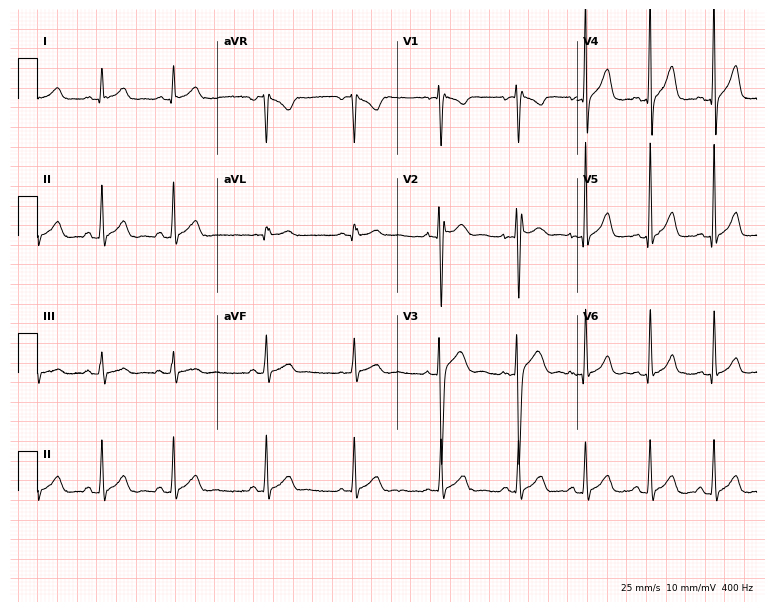
Standard 12-lead ECG recorded from a 19-year-old male patient. Read as a normal ECG.